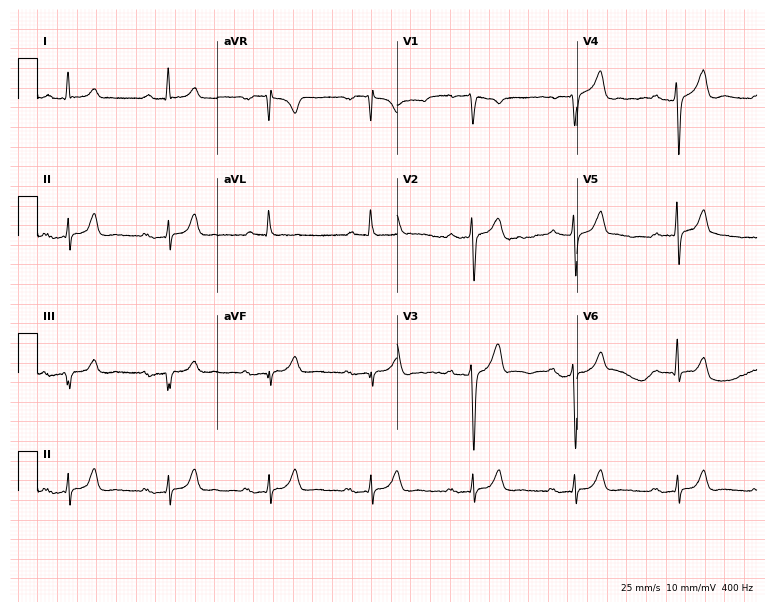
12-lead ECG from a 69-year-old male. Shows first-degree AV block.